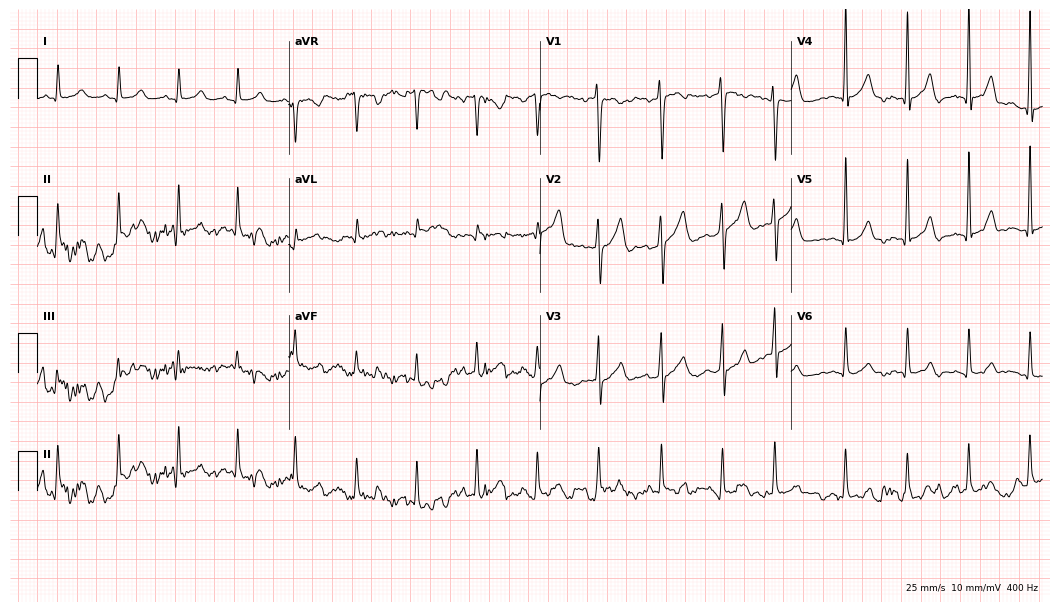
Electrocardiogram, a male, 38 years old. Of the six screened findings (first-degree AV block, right bundle branch block (RBBB), left bundle branch block (LBBB), sinus bradycardia, atrial fibrillation (AF), sinus tachycardia), none is recorded.